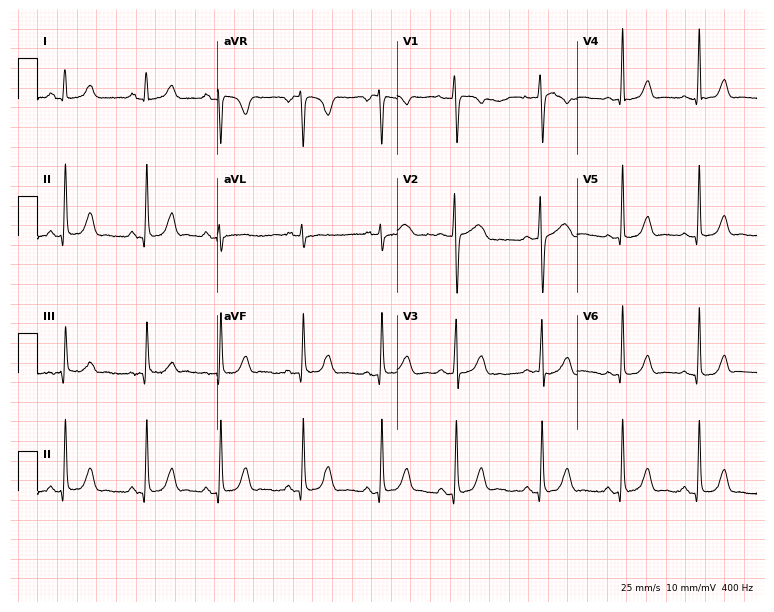
12-lead ECG (7.3-second recording at 400 Hz) from a woman, 37 years old. Screened for six findings — first-degree AV block, right bundle branch block (RBBB), left bundle branch block (LBBB), sinus bradycardia, atrial fibrillation (AF), sinus tachycardia — none is recorded. Findings outside these six are not listed.